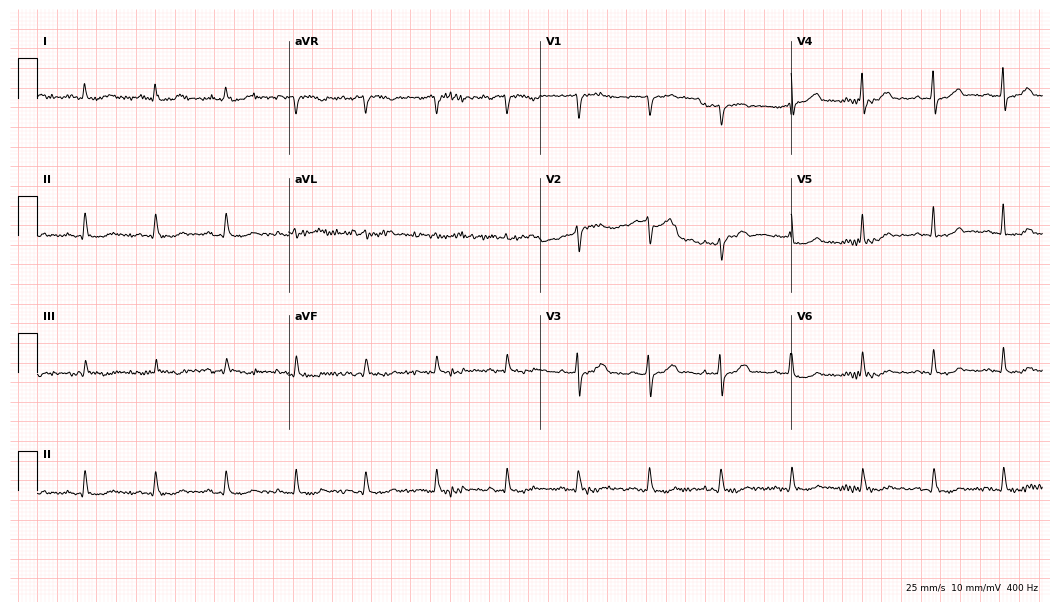
Resting 12-lead electrocardiogram. Patient: a man, 70 years old. None of these six findings is recorded: first-degree AV block, right bundle branch block (RBBB), left bundle branch block (LBBB), sinus bradycardia, atrial fibrillation (AF), sinus tachycardia. Other findings, if any, are not listed.